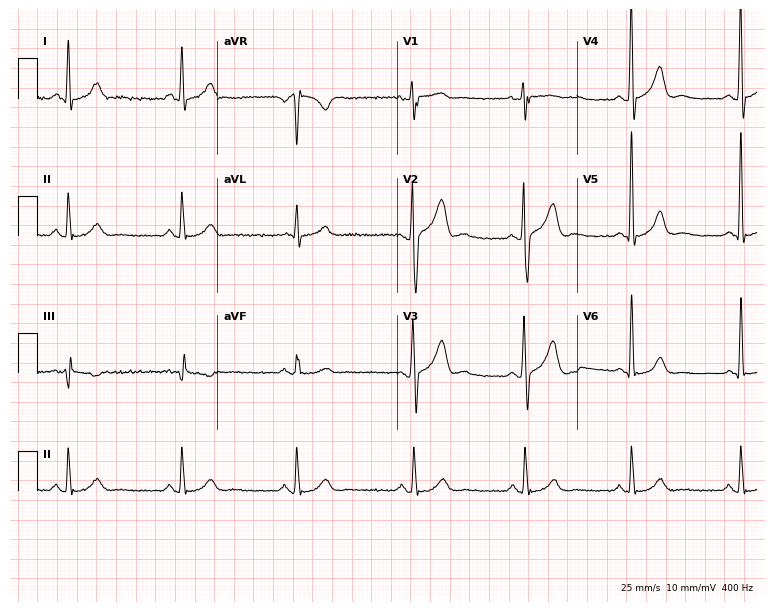
12-lead ECG from a 40-year-old male. Labelled as a normal ECG.